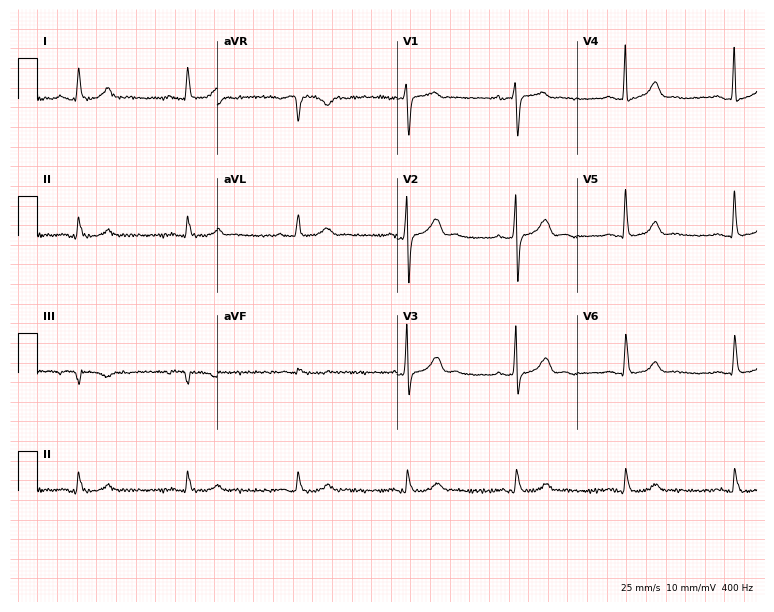
Electrocardiogram (7.3-second recording at 400 Hz), a male patient, 78 years old. Overall reading on record: normal ECG.